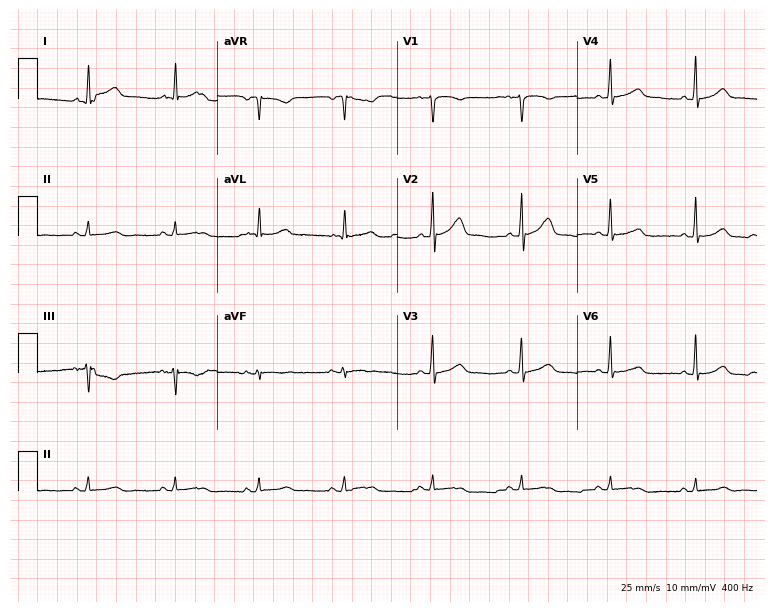
ECG — a female patient, 54 years old. Labelled as a normal ECG.